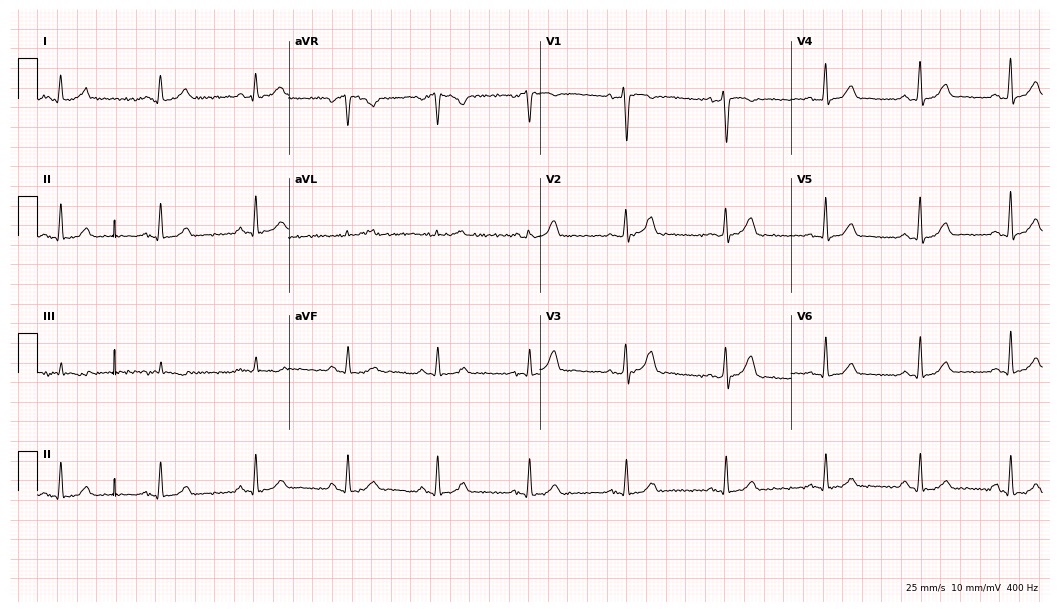
Resting 12-lead electrocardiogram (10.2-second recording at 400 Hz). Patient: a 44-year-old female. Read as a normal ECG.